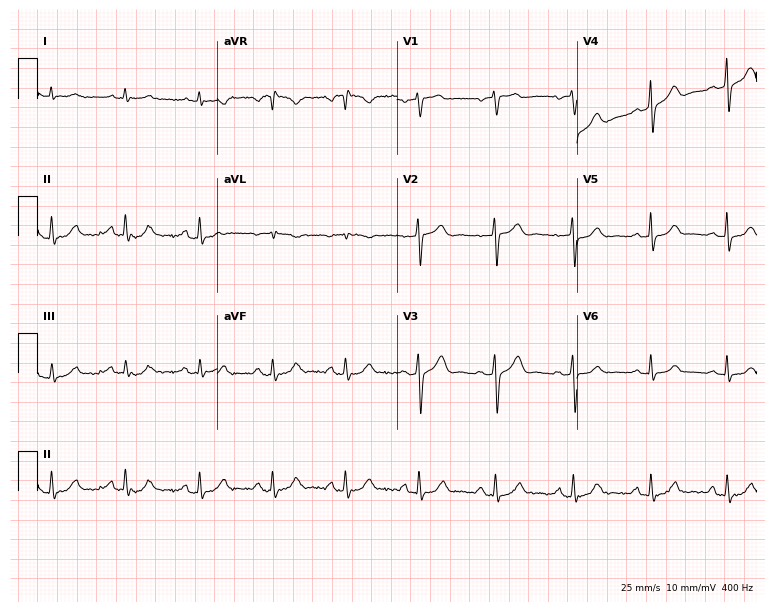
Standard 12-lead ECG recorded from a 62-year-old man (7.3-second recording at 400 Hz). None of these six findings is recorded: first-degree AV block, right bundle branch block, left bundle branch block, sinus bradycardia, atrial fibrillation, sinus tachycardia. Other findings, if any, are not listed.